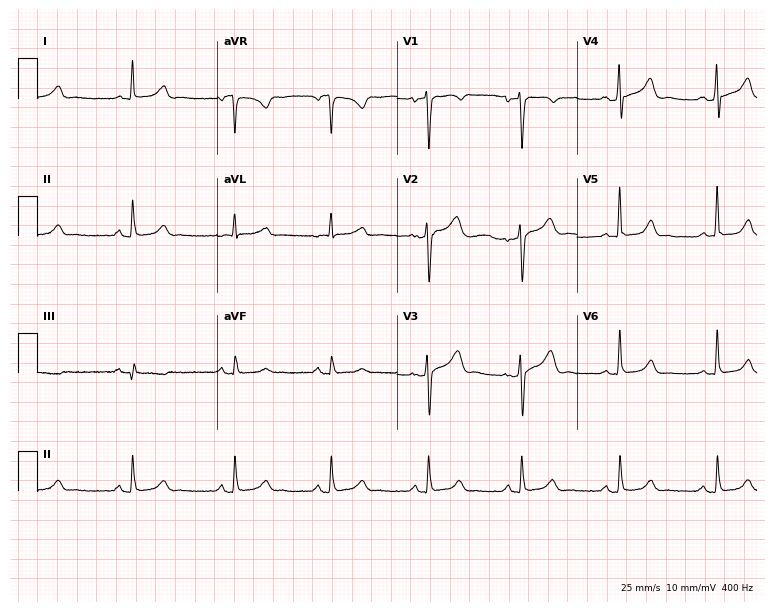
Standard 12-lead ECG recorded from a woman, 54 years old. None of these six findings is recorded: first-degree AV block, right bundle branch block (RBBB), left bundle branch block (LBBB), sinus bradycardia, atrial fibrillation (AF), sinus tachycardia. Only these six findings were labelled.